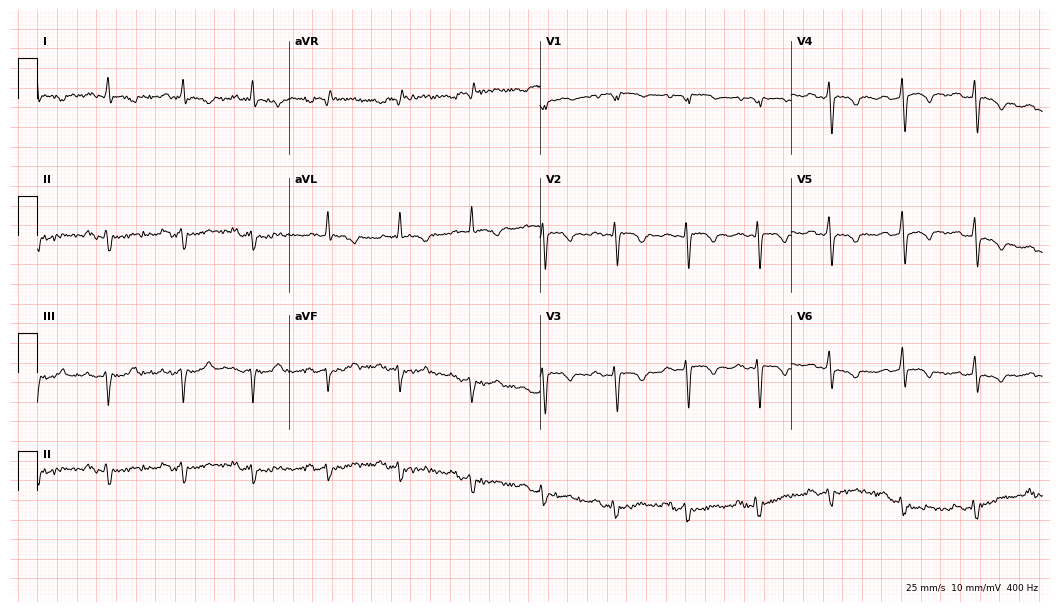
12-lead ECG from a male patient, 66 years old. Screened for six findings — first-degree AV block, right bundle branch block, left bundle branch block, sinus bradycardia, atrial fibrillation, sinus tachycardia — none is recorded.